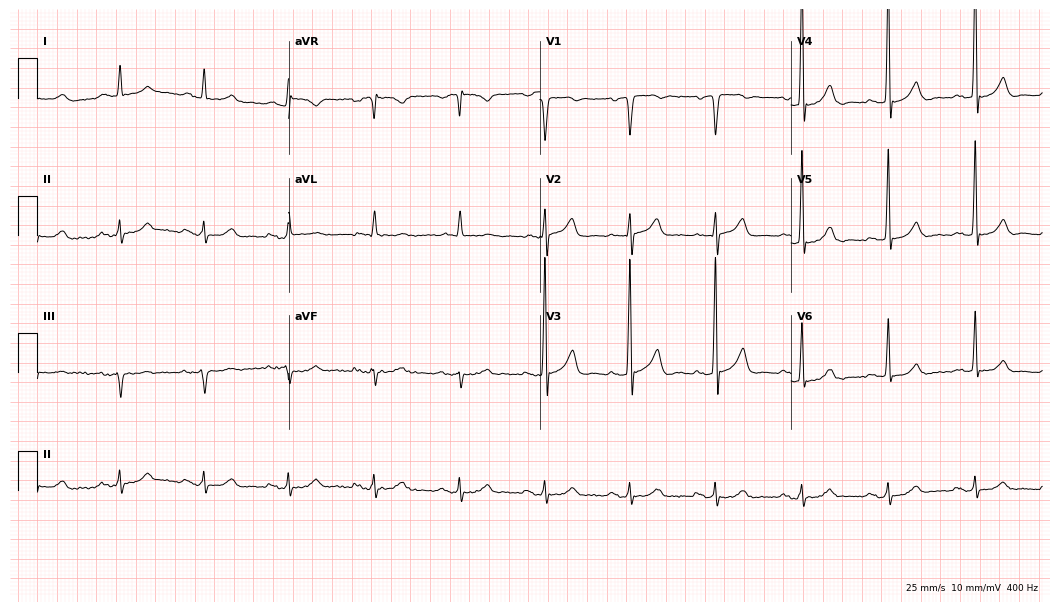
Resting 12-lead electrocardiogram. Patient: a 69-year-old man. Read as a normal ECG.